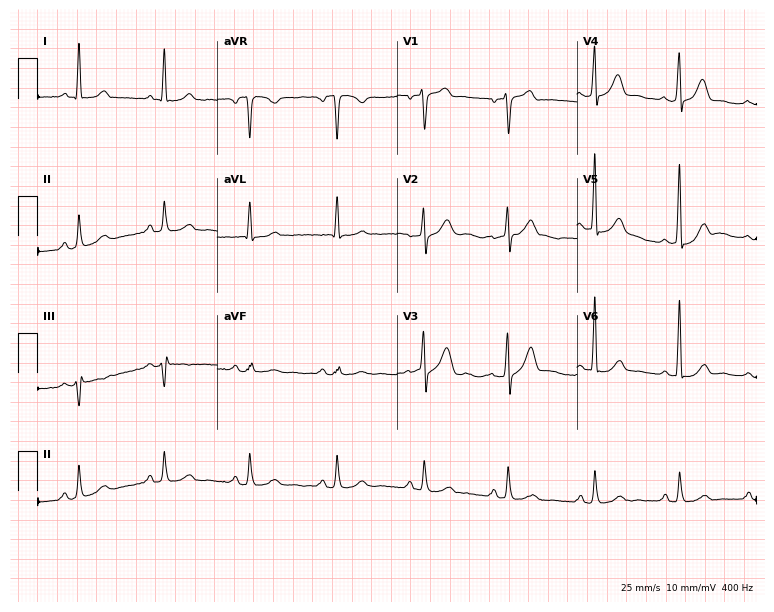
Electrocardiogram, a 50-year-old male. Of the six screened findings (first-degree AV block, right bundle branch block, left bundle branch block, sinus bradycardia, atrial fibrillation, sinus tachycardia), none is recorded. Findings outside these six are not listed.